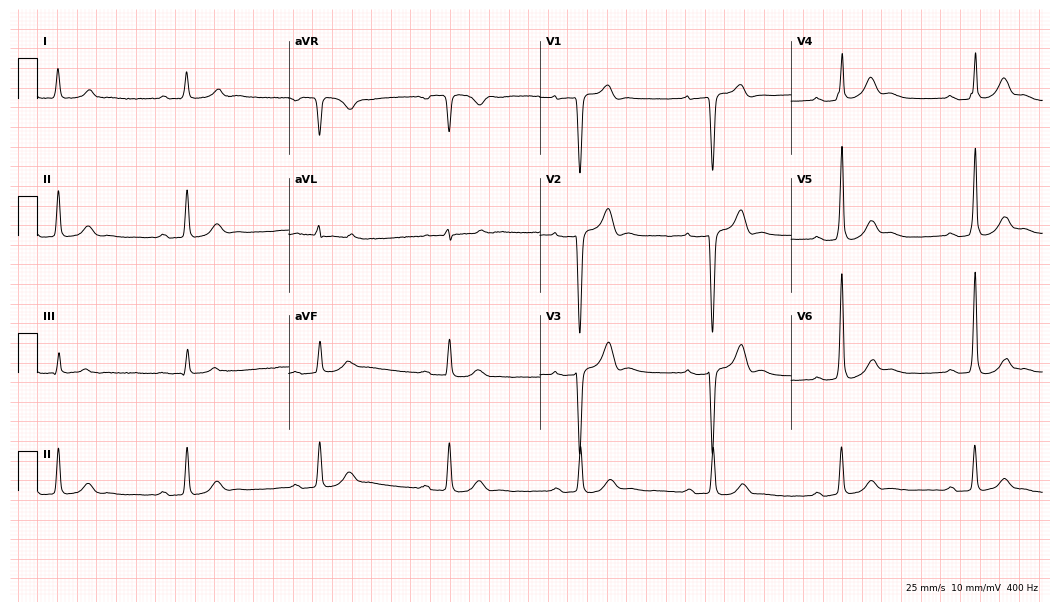
12-lead ECG (10.2-second recording at 400 Hz) from a male, 72 years old. Findings include first-degree AV block, left bundle branch block, sinus bradycardia (a sinus rate of 50 beats per minute or less).